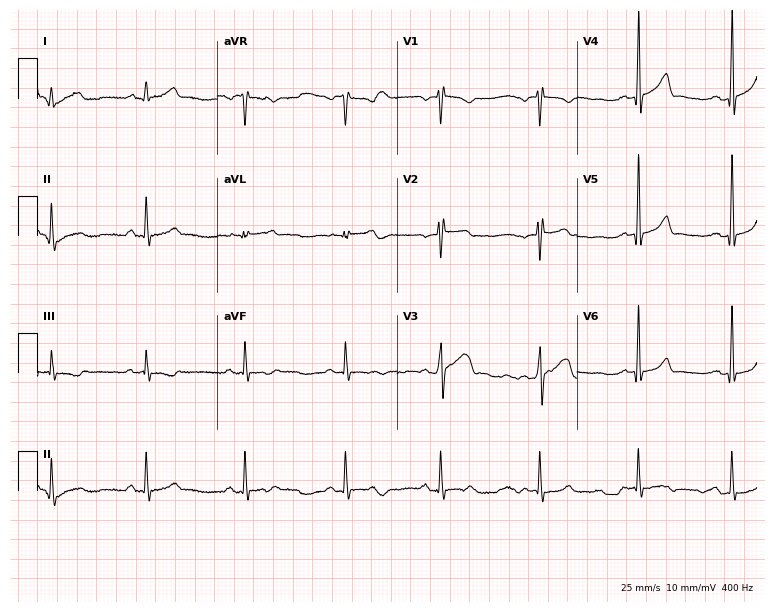
Resting 12-lead electrocardiogram. Patient: a 31-year-old male. Read as a normal ECG.